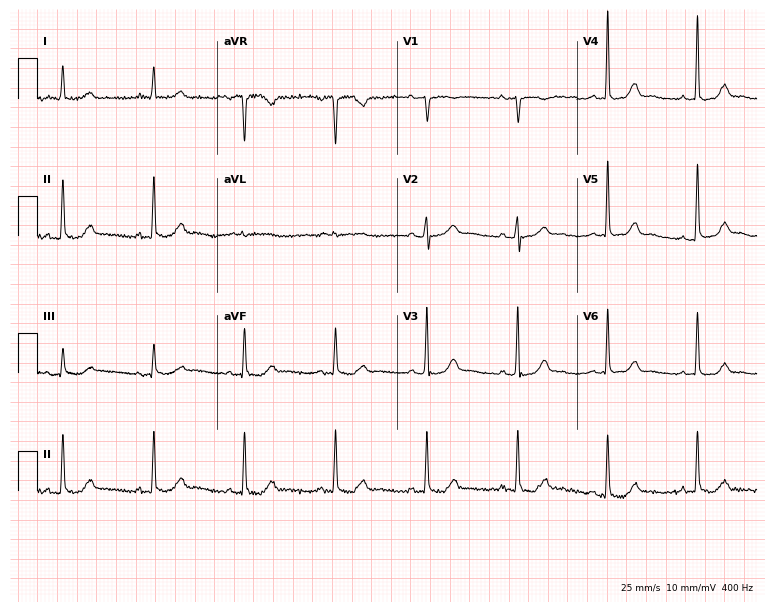
Electrocardiogram (7.3-second recording at 400 Hz), a female, 74 years old. Overall reading on record: normal ECG.